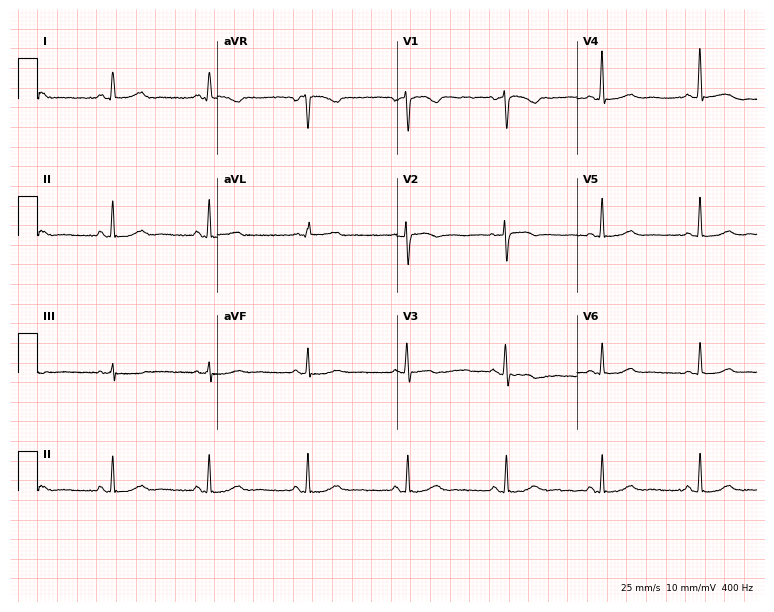
Resting 12-lead electrocardiogram. Patient: a 43-year-old woman. None of these six findings is recorded: first-degree AV block, right bundle branch block (RBBB), left bundle branch block (LBBB), sinus bradycardia, atrial fibrillation (AF), sinus tachycardia.